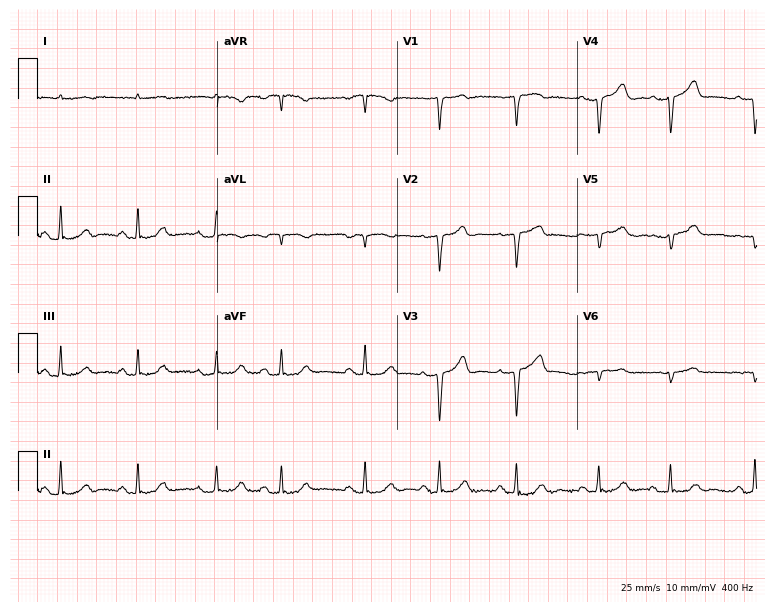
Electrocardiogram, an 83-year-old male patient. Of the six screened findings (first-degree AV block, right bundle branch block, left bundle branch block, sinus bradycardia, atrial fibrillation, sinus tachycardia), none is recorded. Only these six findings were labelled.